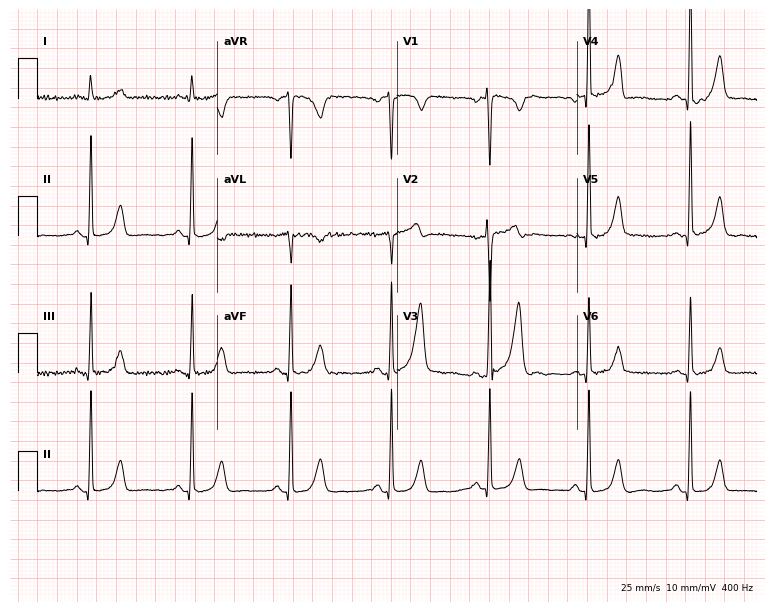
Electrocardiogram, a 70-year-old man. Of the six screened findings (first-degree AV block, right bundle branch block, left bundle branch block, sinus bradycardia, atrial fibrillation, sinus tachycardia), none is recorded. Other findings, if any, are not listed.